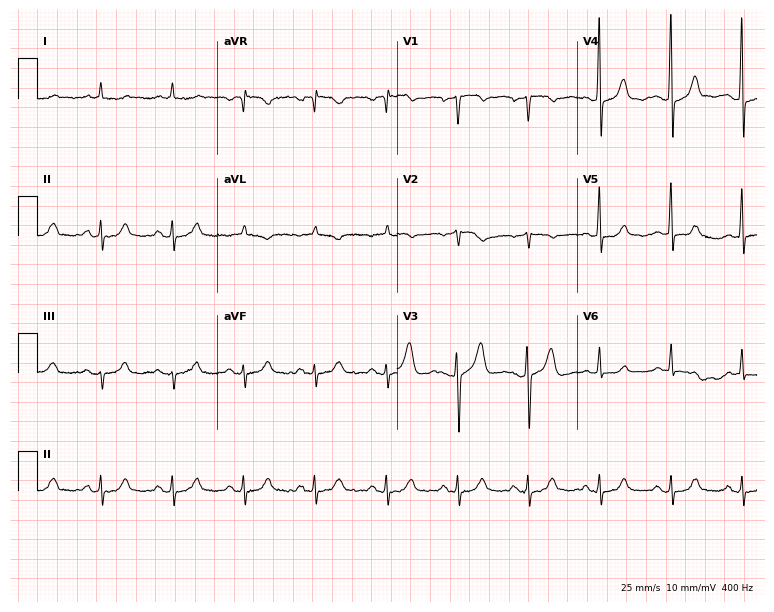
12-lead ECG from a male, 51 years old. Recorded interpretation: within normal limits.